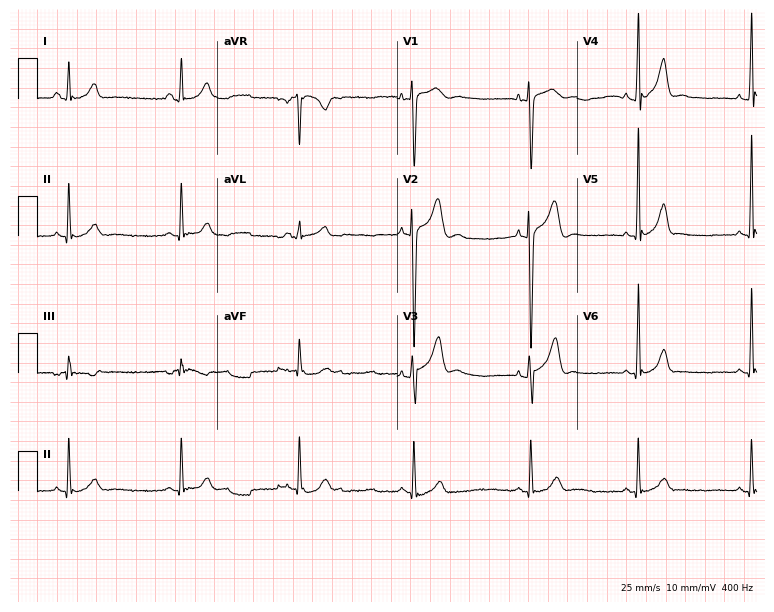
12-lead ECG from a male, 20 years old. Labelled as a normal ECG.